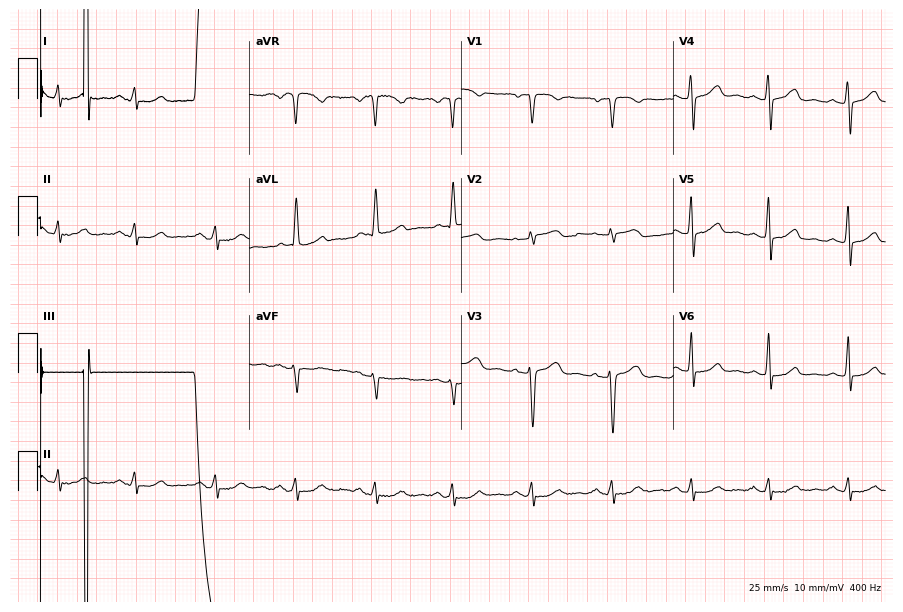
Electrocardiogram (8.6-second recording at 400 Hz), a woman, 53 years old. Of the six screened findings (first-degree AV block, right bundle branch block (RBBB), left bundle branch block (LBBB), sinus bradycardia, atrial fibrillation (AF), sinus tachycardia), none is recorded. Findings outside these six are not listed.